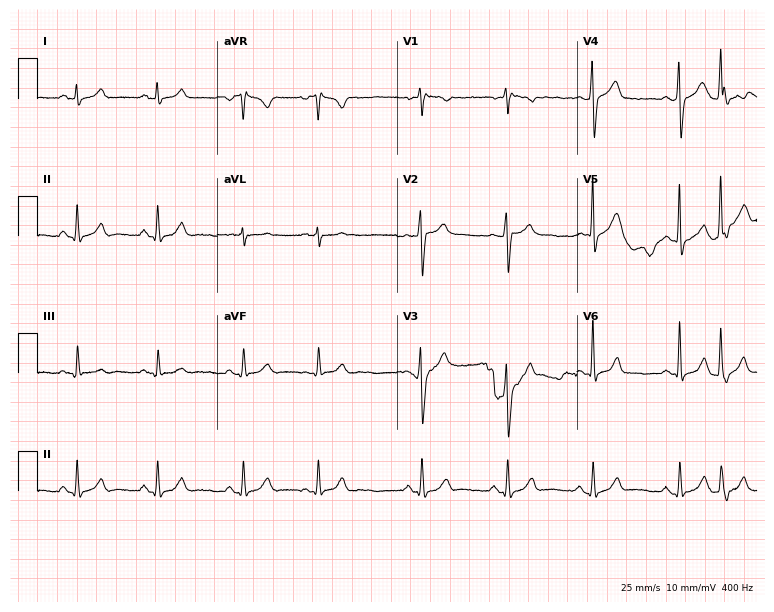
Standard 12-lead ECG recorded from a 30-year-old male patient. Read as a normal ECG.